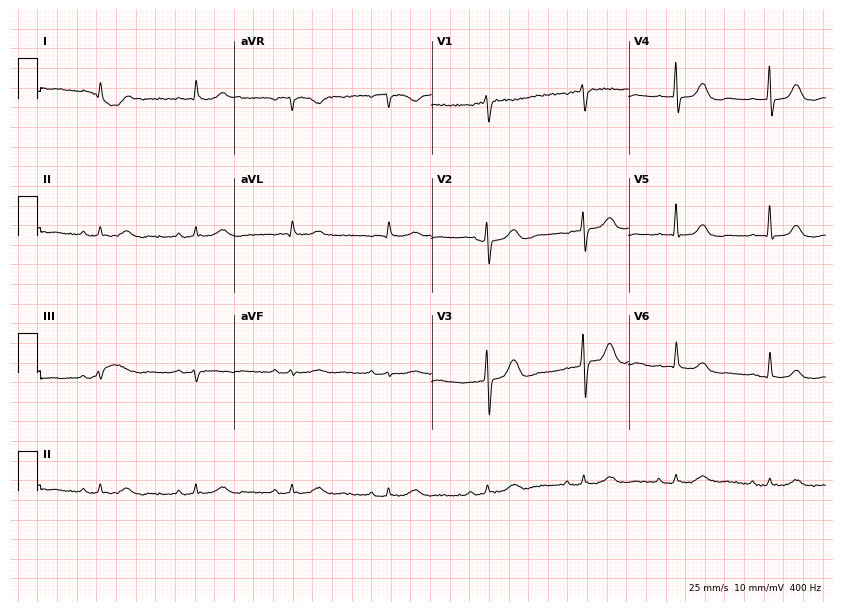
Standard 12-lead ECG recorded from a male, 73 years old (8-second recording at 400 Hz). Read as a normal ECG.